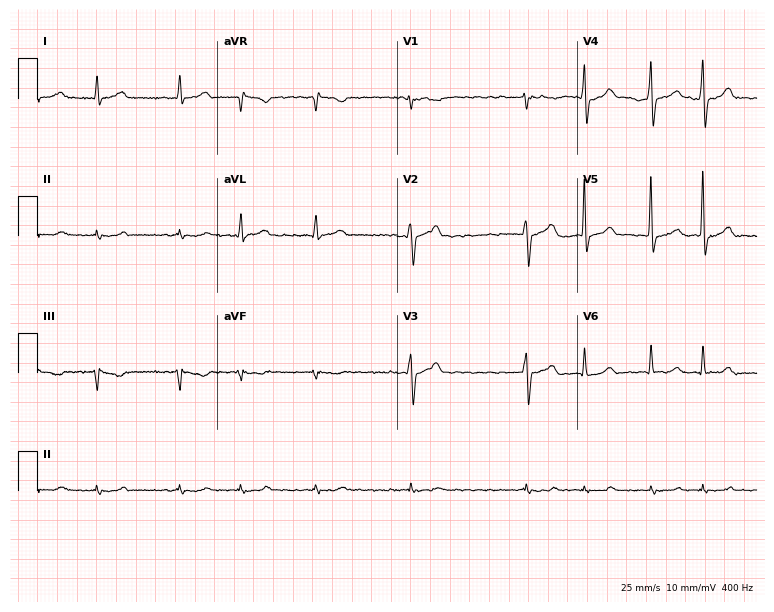
Electrocardiogram (7.3-second recording at 400 Hz), a male, 67 years old. Interpretation includes atrial fibrillation.